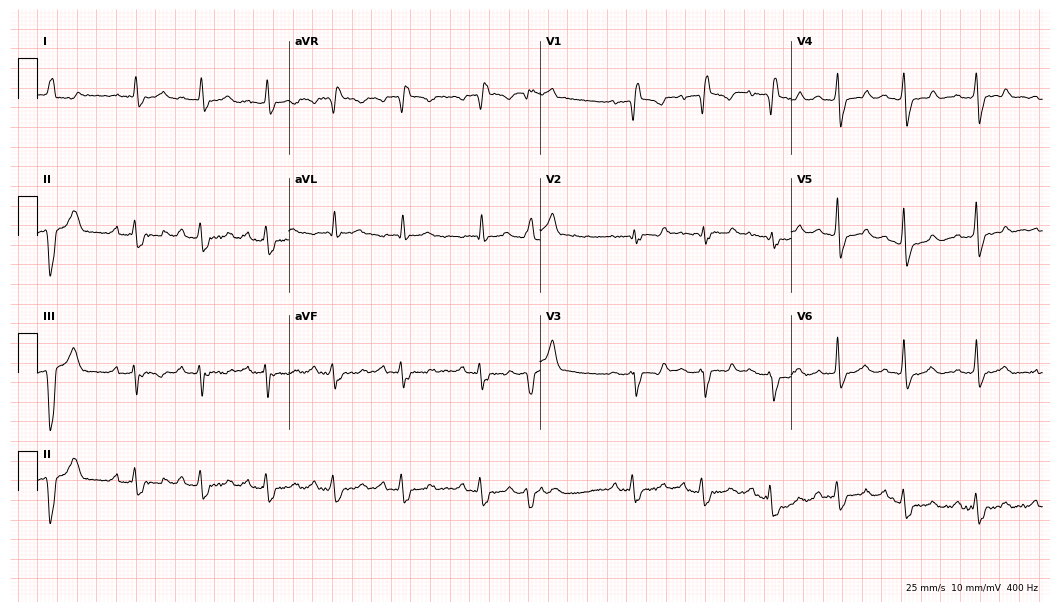
Standard 12-lead ECG recorded from a female, 70 years old. None of these six findings is recorded: first-degree AV block, right bundle branch block, left bundle branch block, sinus bradycardia, atrial fibrillation, sinus tachycardia.